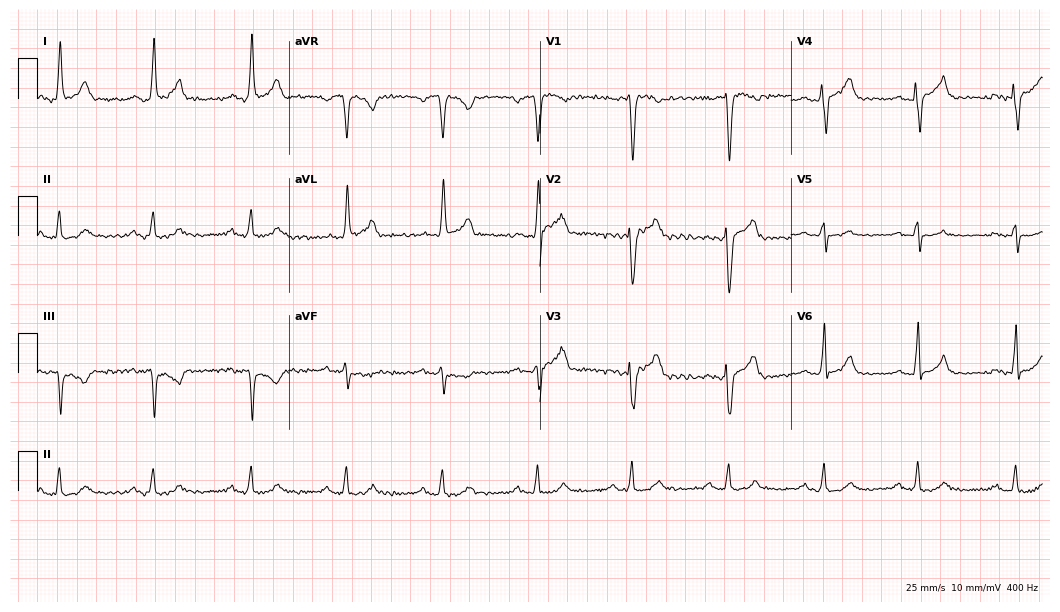
ECG (10.2-second recording at 400 Hz) — a woman, 54 years old. Screened for six findings — first-degree AV block, right bundle branch block (RBBB), left bundle branch block (LBBB), sinus bradycardia, atrial fibrillation (AF), sinus tachycardia — none is recorded. Findings outside these six are not listed.